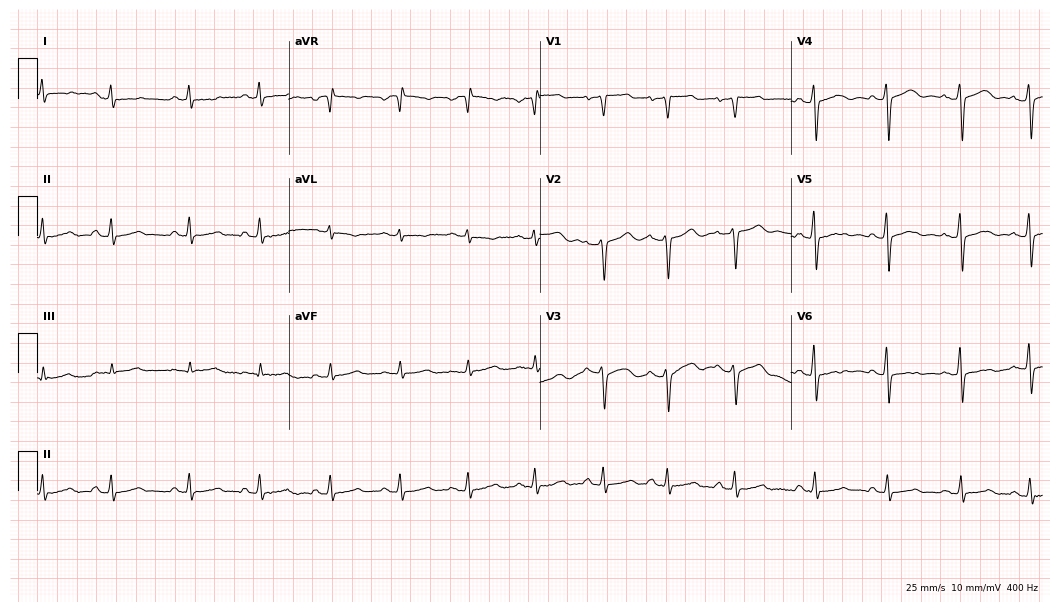
Electrocardiogram (10.2-second recording at 400 Hz), a 52-year-old female patient. Overall reading on record: normal ECG.